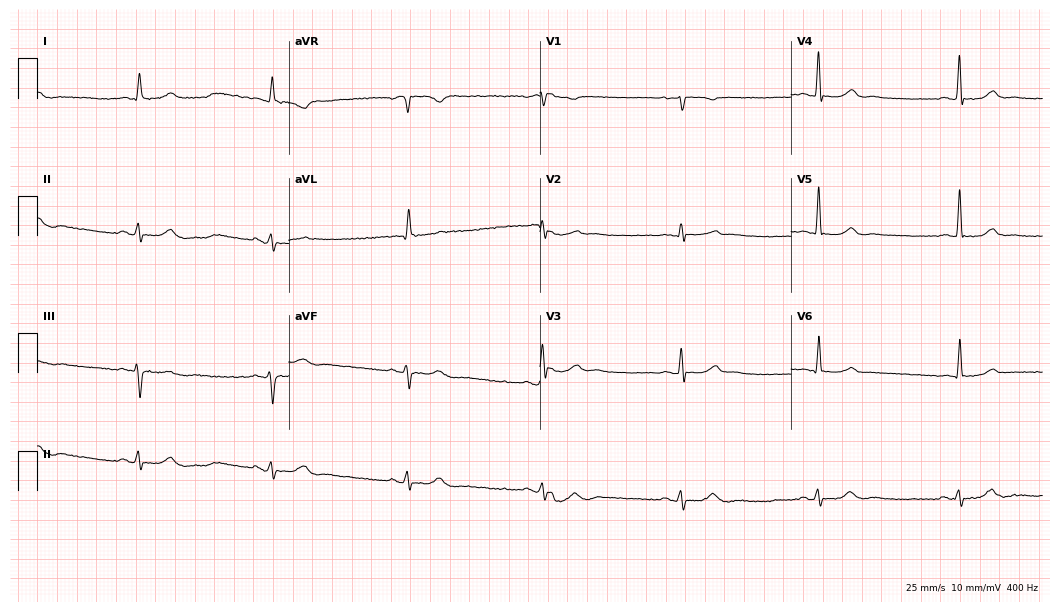
Resting 12-lead electrocardiogram (10.2-second recording at 400 Hz). Patient: an 85-year-old male. The tracing shows sinus bradycardia (a sinus rate of 50 beats per minute or less).